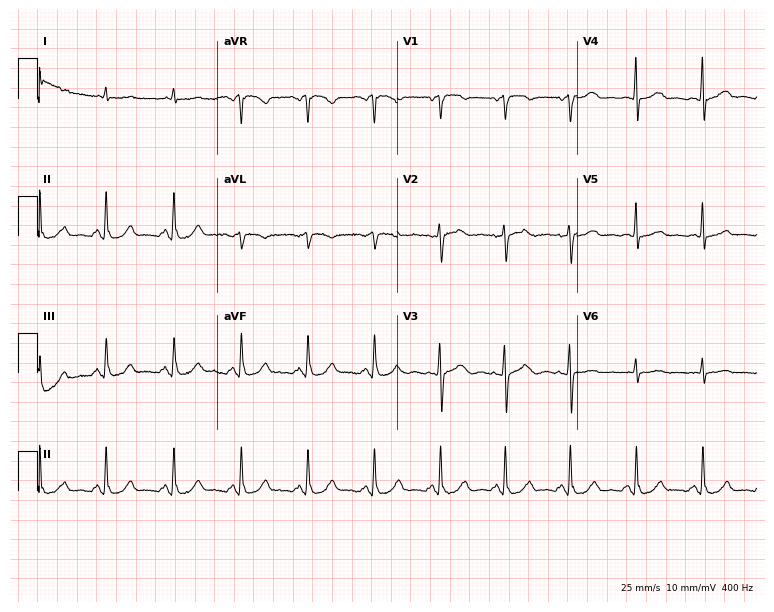
ECG — a male, 64 years old. Screened for six findings — first-degree AV block, right bundle branch block, left bundle branch block, sinus bradycardia, atrial fibrillation, sinus tachycardia — none is recorded. Findings outside these six are not listed.